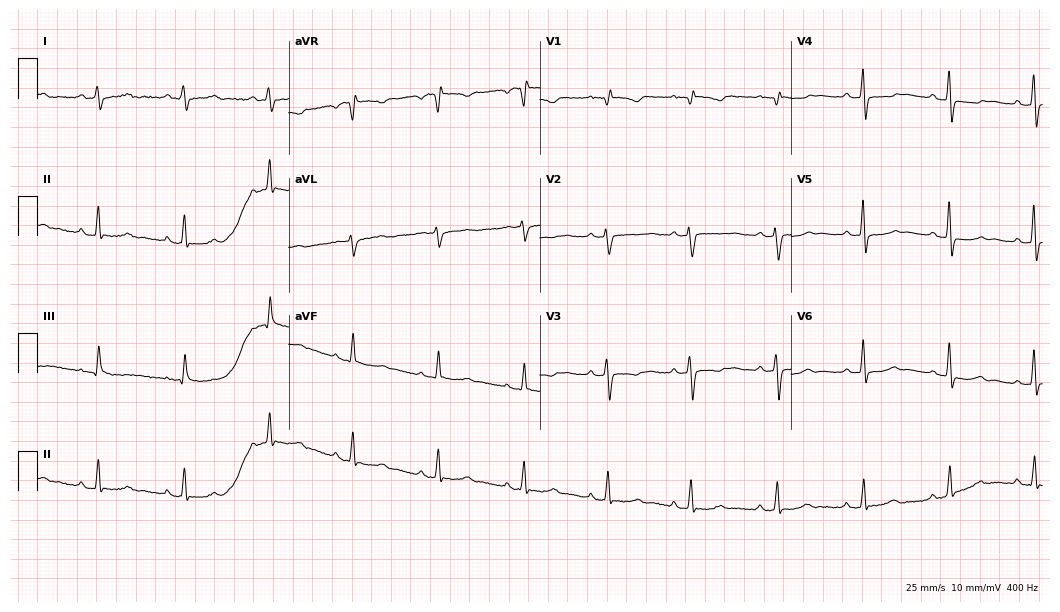
Electrocardiogram (10.2-second recording at 400 Hz), a woman, 38 years old. Of the six screened findings (first-degree AV block, right bundle branch block, left bundle branch block, sinus bradycardia, atrial fibrillation, sinus tachycardia), none is recorded. Only these six findings were labelled.